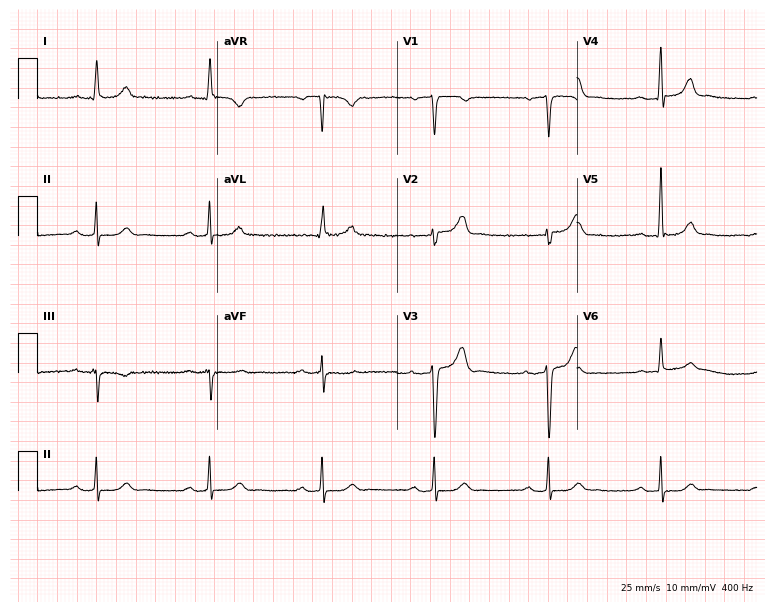
Resting 12-lead electrocardiogram. Patient: a man, 60 years old. Read as a normal ECG.